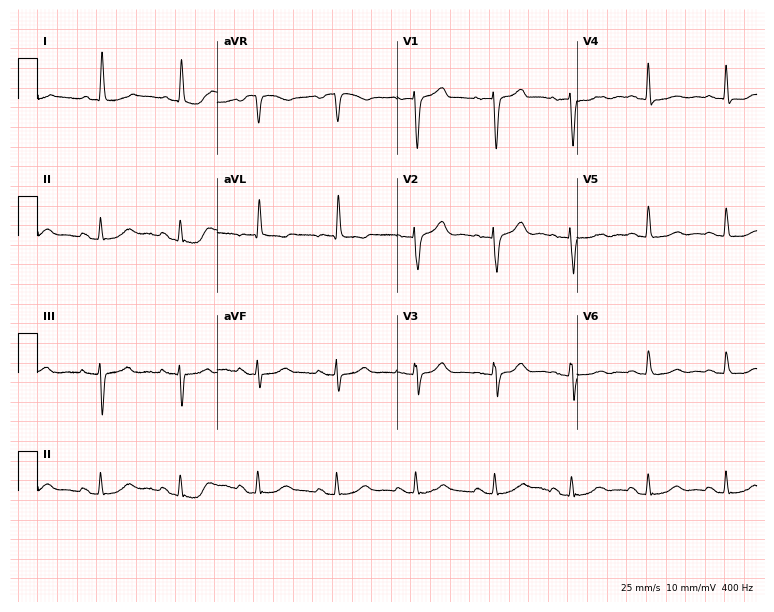
Electrocardiogram, a 71-year-old female. Of the six screened findings (first-degree AV block, right bundle branch block, left bundle branch block, sinus bradycardia, atrial fibrillation, sinus tachycardia), none is recorded.